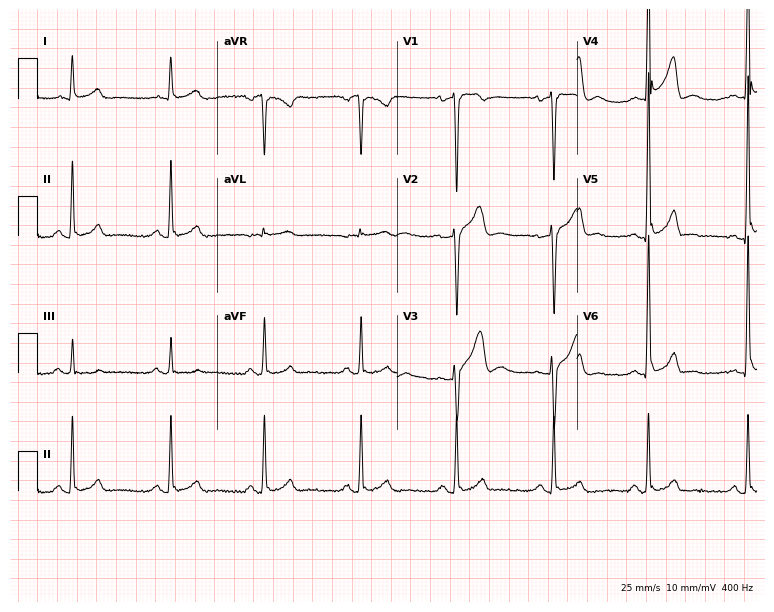
12-lead ECG from a 31-year-old man. No first-degree AV block, right bundle branch block (RBBB), left bundle branch block (LBBB), sinus bradycardia, atrial fibrillation (AF) or sinus tachycardia recorded for this tracing.